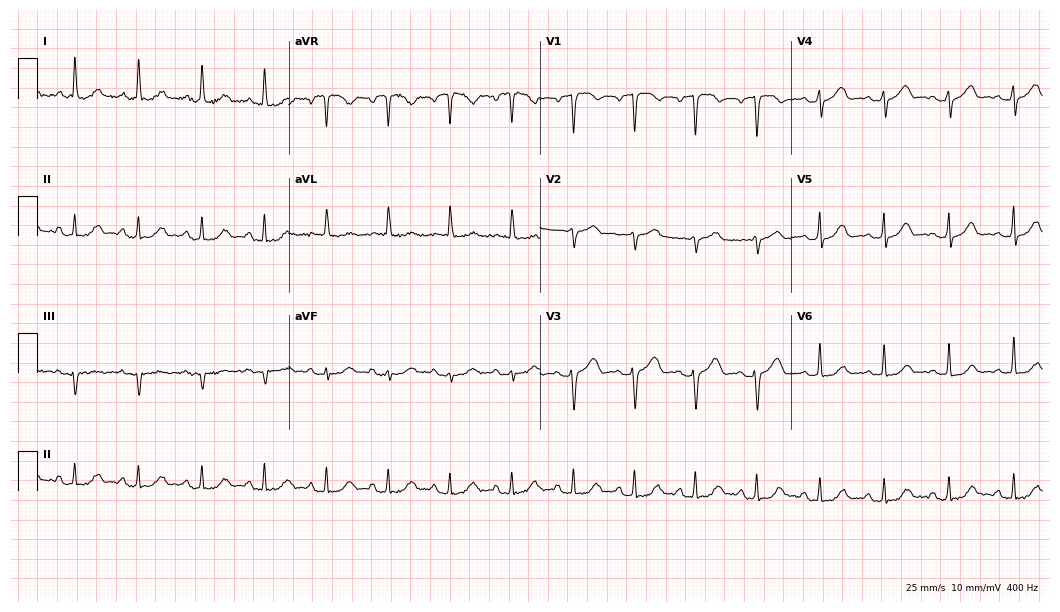
Resting 12-lead electrocardiogram (10.2-second recording at 400 Hz). Patient: a 66-year-old female. None of these six findings is recorded: first-degree AV block, right bundle branch block (RBBB), left bundle branch block (LBBB), sinus bradycardia, atrial fibrillation (AF), sinus tachycardia. Other findings, if any, are not listed.